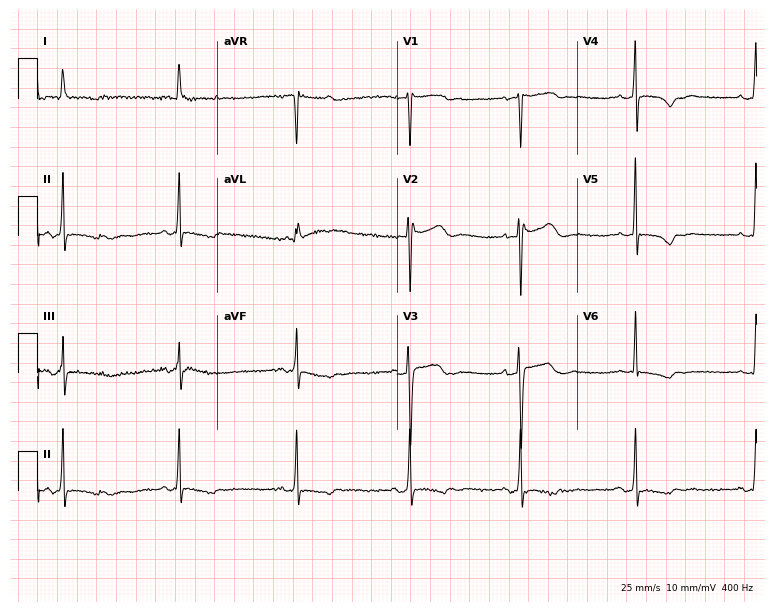
12-lead ECG from a 66-year-old female patient (7.3-second recording at 400 Hz). No first-degree AV block, right bundle branch block, left bundle branch block, sinus bradycardia, atrial fibrillation or sinus tachycardia recorded for this tracing.